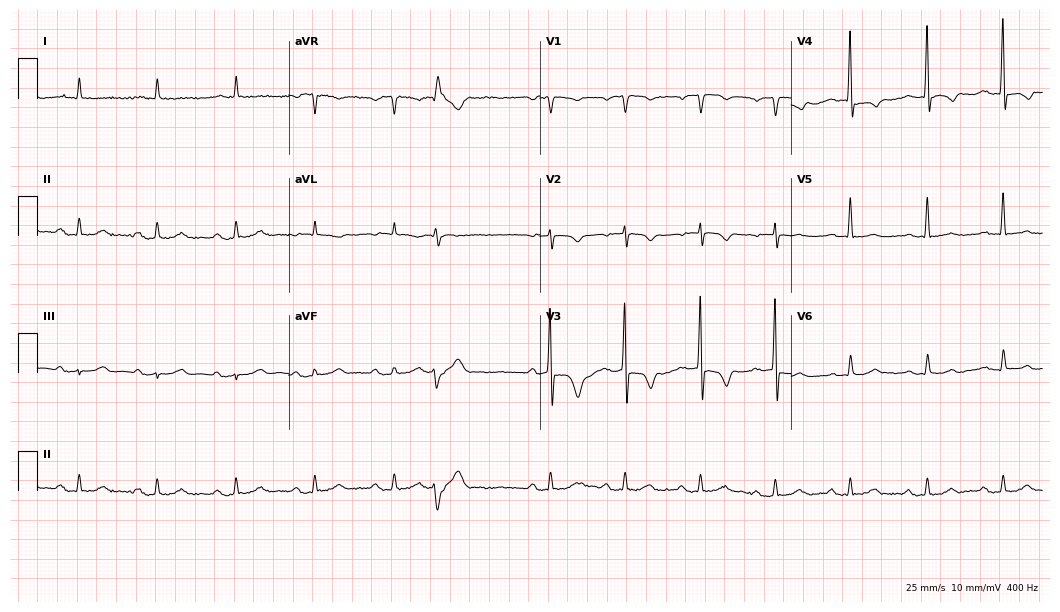
Resting 12-lead electrocardiogram (10.2-second recording at 400 Hz). Patient: an 85-year-old male. Read as a normal ECG.